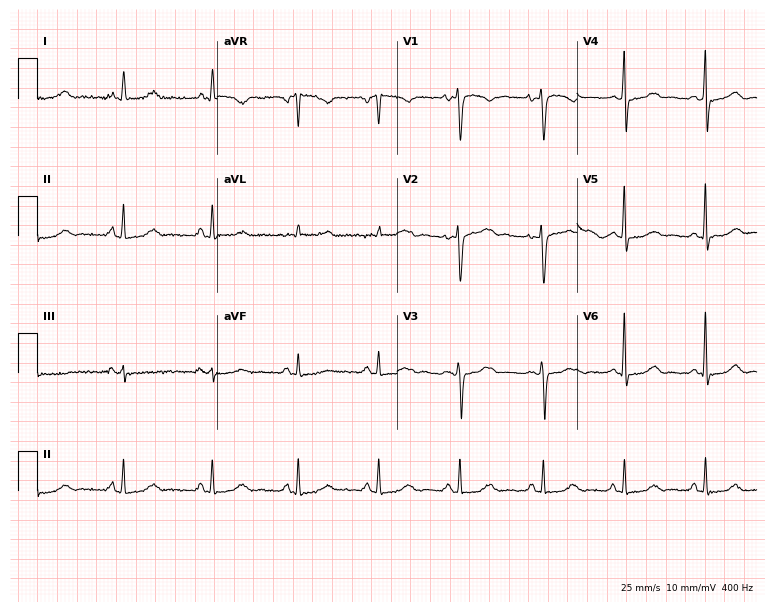
12-lead ECG from a woman, 42 years old. Recorded interpretation: within normal limits.